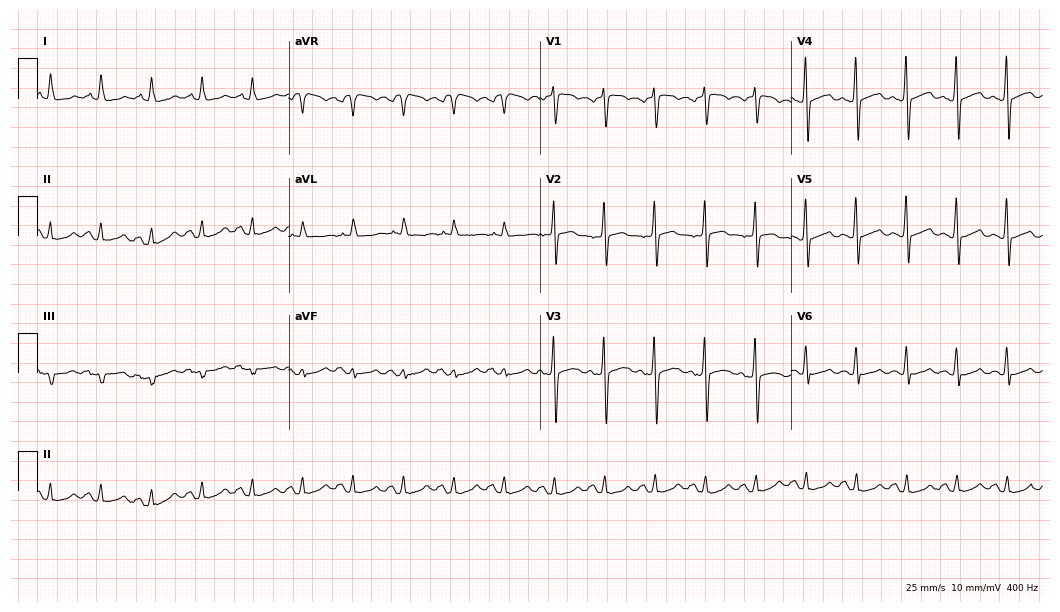
12-lead ECG from a 67-year-old man. Shows sinus tachycardia (a sinus rate of 100 beats per minute or more).